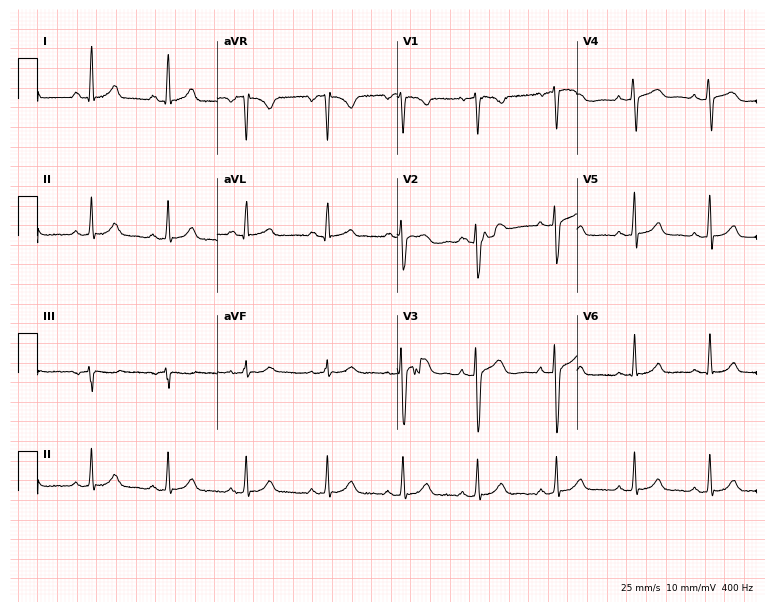
ECG (7.3-second recording at 400 Hz) — a female patient, 19 years old. Labelled as a normal ECG.